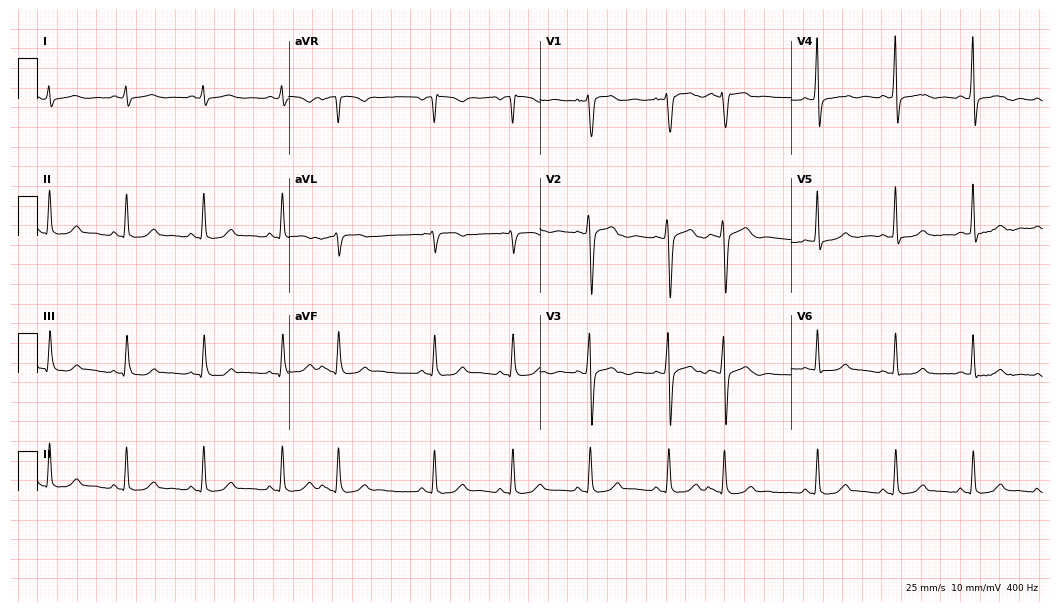
12-lead ECG from a 51-year-old male. No first-degree AV block, right bundle branch block (RBBB), left bundle branch block (LBBB), sinus bradycardia, atrial fibrillation (AF) or sinus tachycardia recorded for this tracing. Only these six findings were labelled.